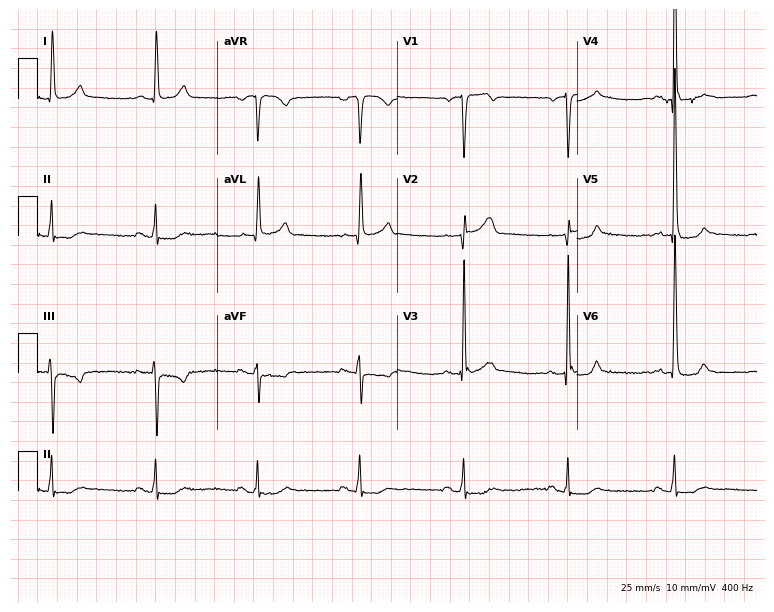
Resting 12-lead electrocardiogram. Patient: a man, 76 years old. None of these six findings is recorded: first-degree AV block, right bundle branch block (RBBB), left bundle branch block (LBBB), sinus bradycardia, atrial fibrillation (AF), sinus tachycardia. Other findings, if any, are not listed.